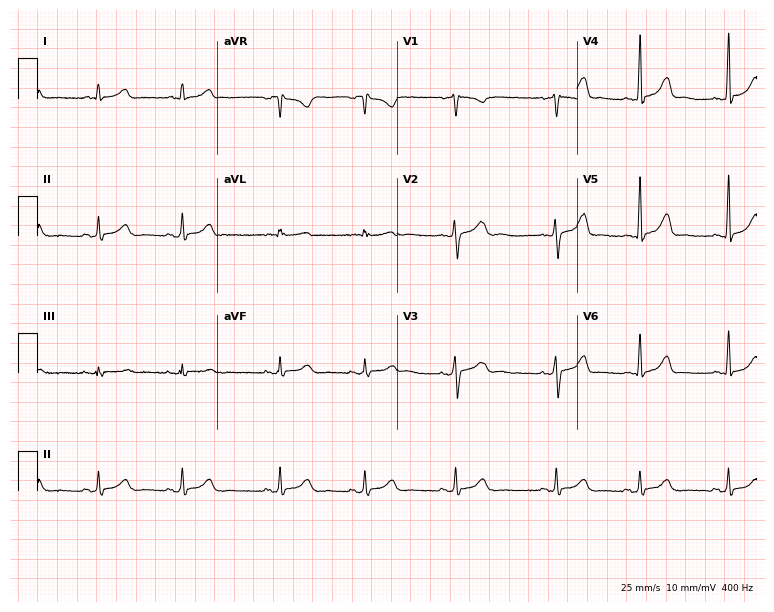
12-lead ECG (7.3-second recording at 400 Hz) from a 22-year-old woman. Labelled as a normal ECG.